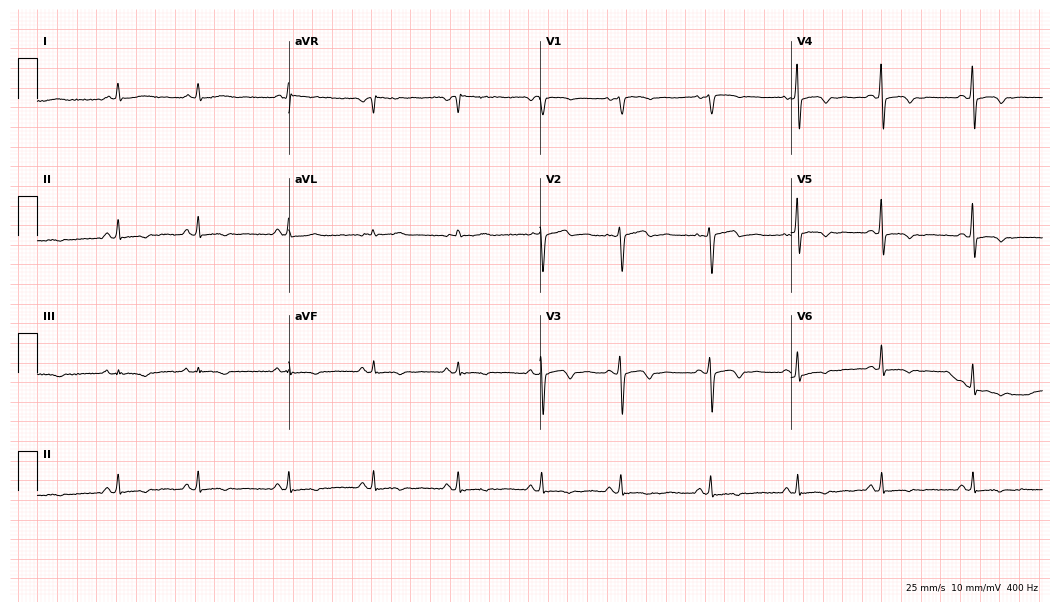
ECG (10.2-second recording at 400 Hz) — a 39-year-old woman. Screened for six findings — first-degree AV block, right bundle branch block (RBBB), left bundle branch block (LBBB), sinus bradycardia, atrial fibrillation (AF), sinus tachycardia — none is recorded. Other findings, if any, are not listed.